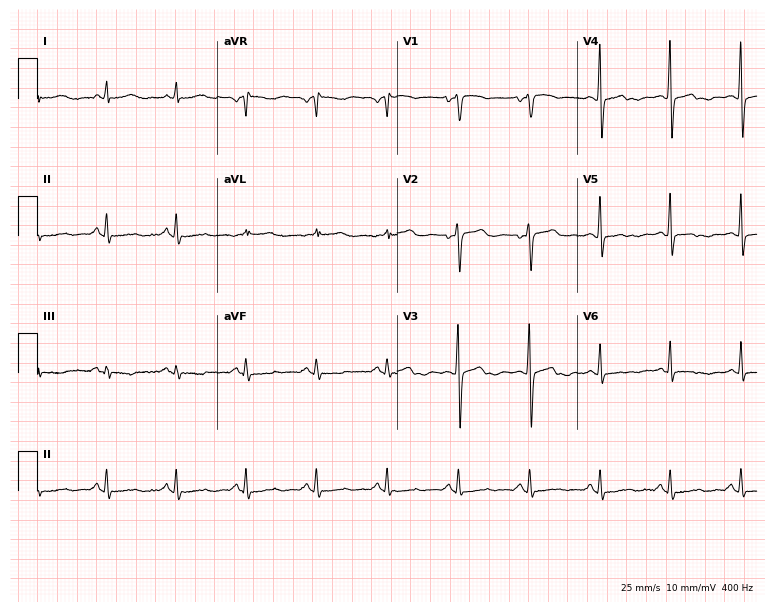
12-lead ECG from a female, 53 years old. Screened for six findings — first-degree AV block, right bundle branch block, left bundle branch block, sinus bradycardia, atrial fibrillation, sinus tachycardia — none is recorded.